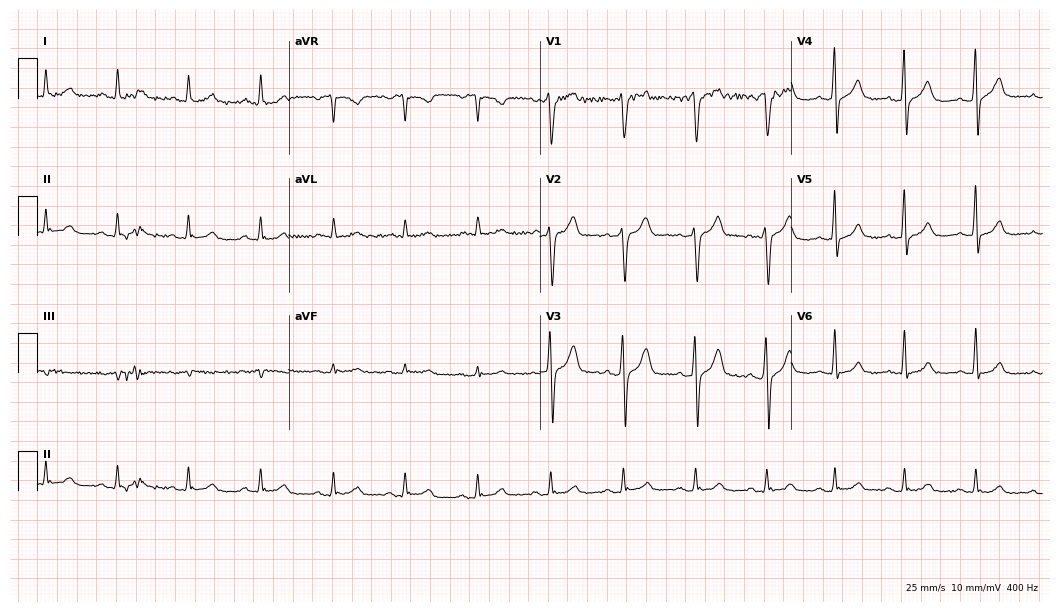
12-lead ECG (10.2-second recording at 400 Hz) from a male, 43 years old. Labelled as a normal ECG.